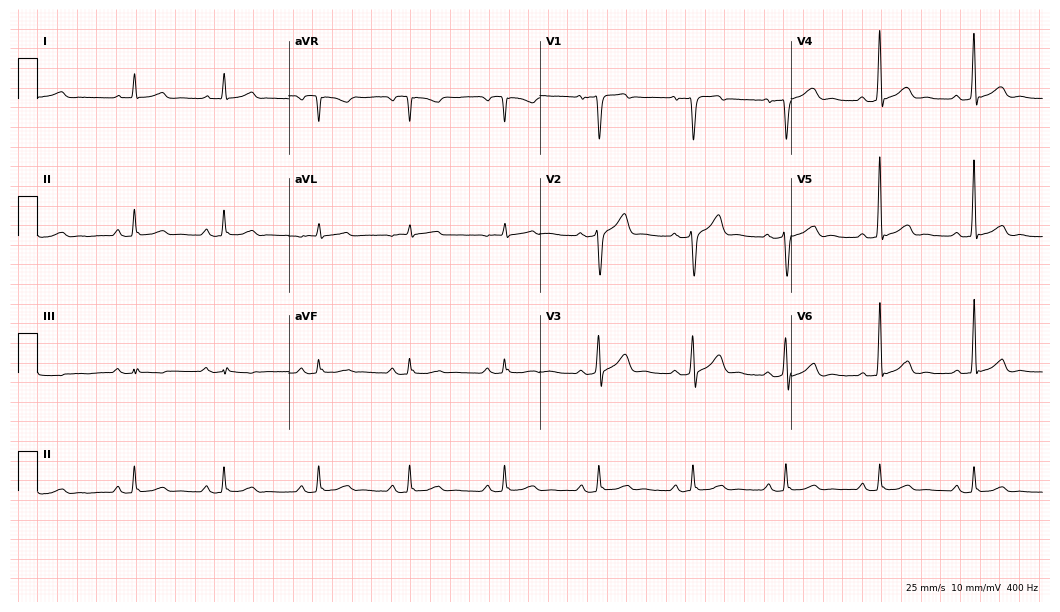
12-lead ECG (10.2-second recording at 400 Hz) from a male patient, 67 years old. Labelled as a normal ECG.